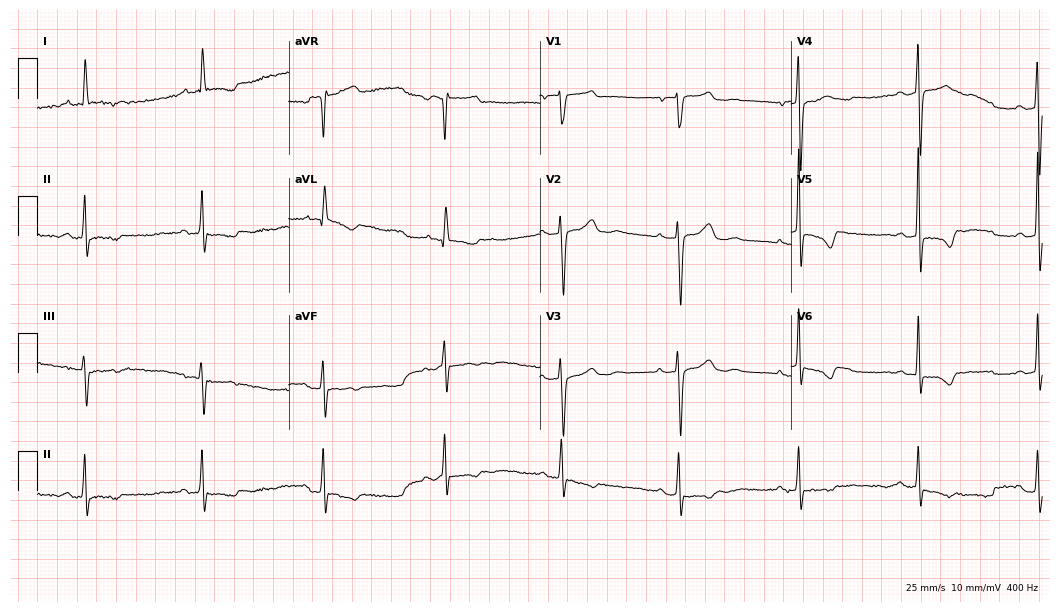
Electrocardiogram, a 75-year-old female patient. Of the six screened findings (first-degree AV block, right bundle branch block, left bundle branch block, sinus bradycardia, atrial fibrillation, sinus tachycardia), none is recorded. Only these six findings were labelled.